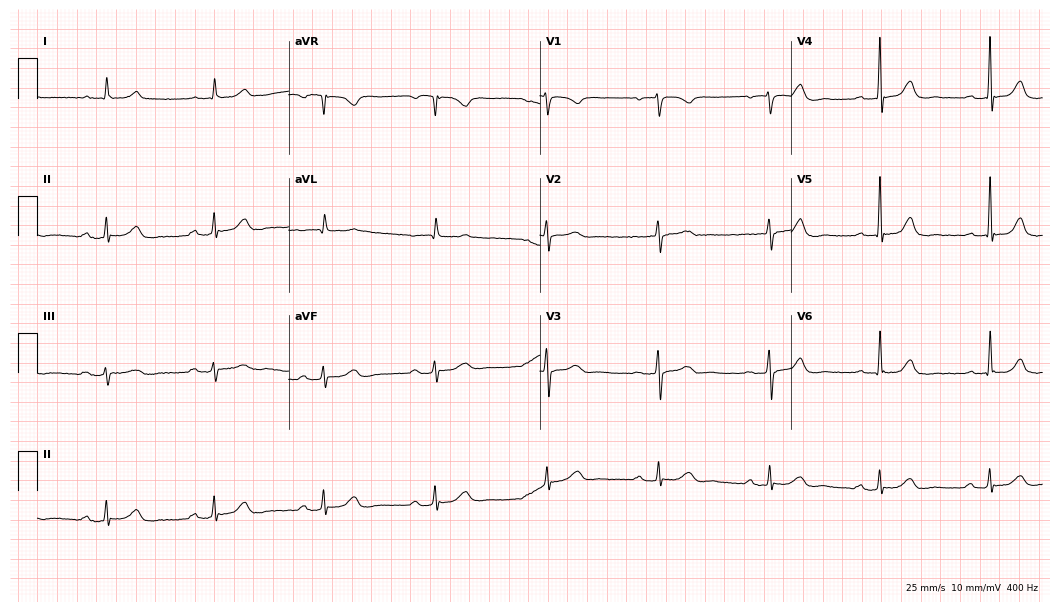
12-lead ECG from a female patient, 65 years old (10.2-second recording at 400 Hz). Recorded interpretation: within normal limits.